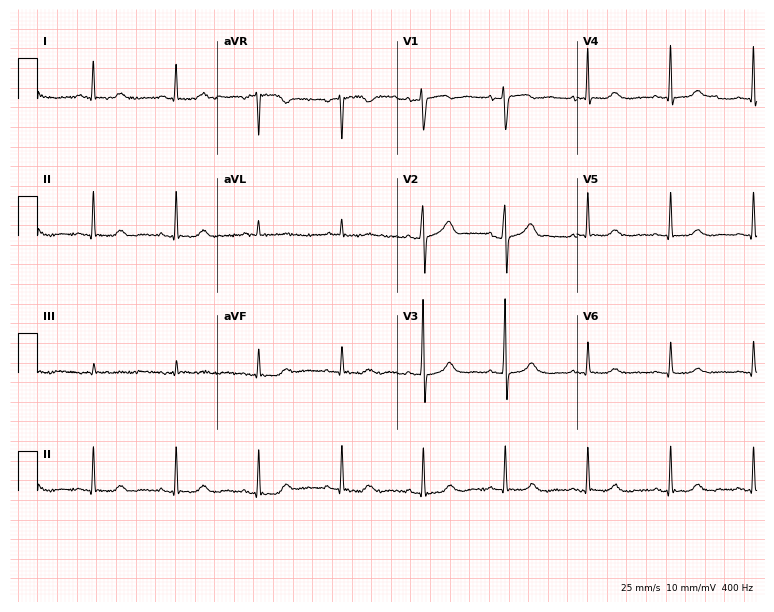
12-lead ECG from a 67-year-old woman. No first-degree AV block, right bundle branch block (RBBB), left bundle branch block (LBBB), sinus bradycardia, atrial fibrillation (AF) or sinus tachycardia recorded for this tracing. Other findings, if any, are not listed.